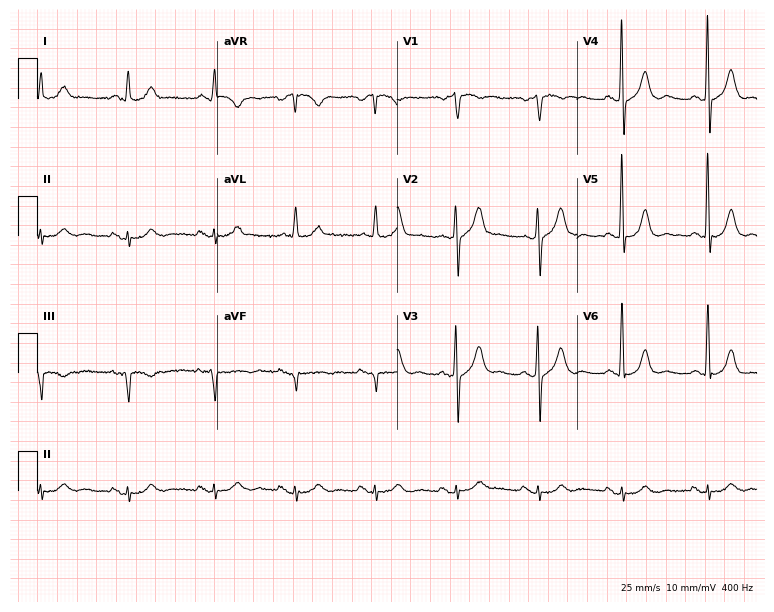
ECG (7.3-second recording at 400 Hz) — a 75-year-old man. Screened for six findings — first-degree AV block, right bundle branch block, left bundle branch block, sinus bradycardia, atrial fibrillation, sinus tachycardia — none is recorded.